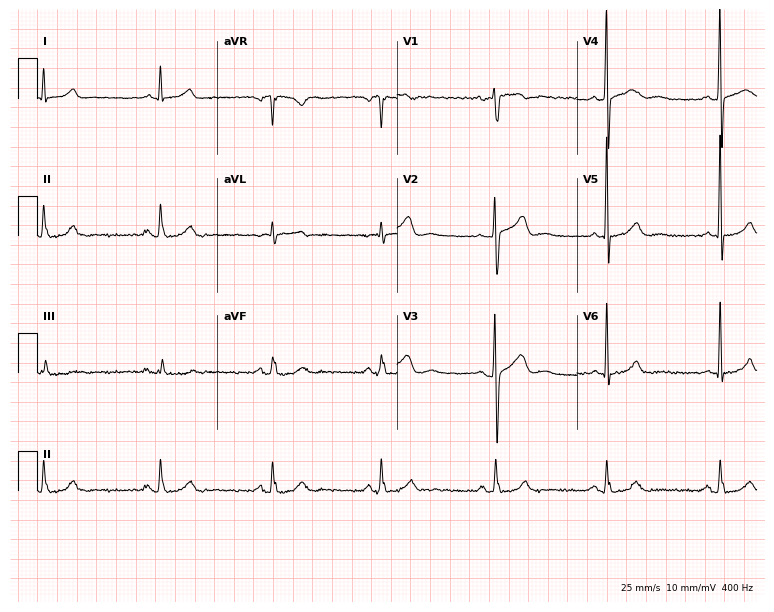
Electrocardiogram, a 42-year-old male. Of the six screened findings (first-degree AV block, right bundle branch block, left bundle branch block, sinus bradycardia, atrial fibrillation, sinus tachycardia), none is recorded. Findings outside these six are not listed.